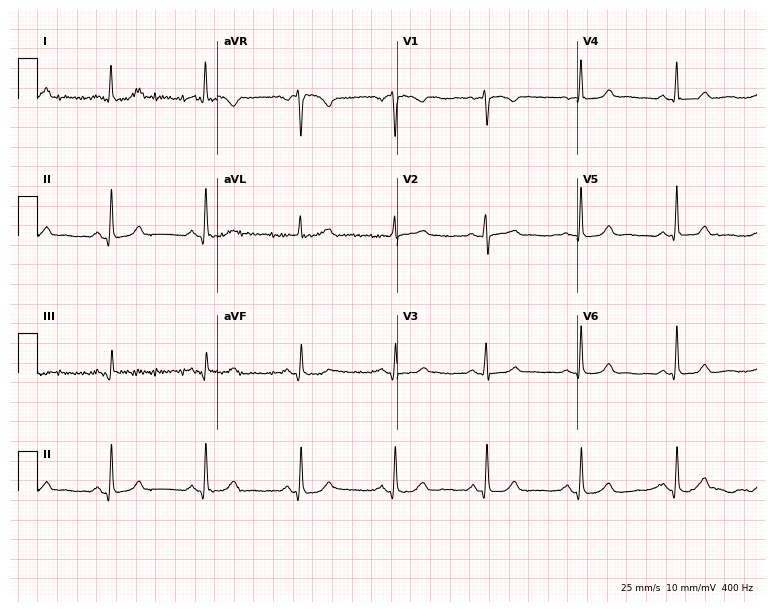
Resting 12-lead electrocardiogram. Patient: a woman, 68 years old. Read as a normal ECG.